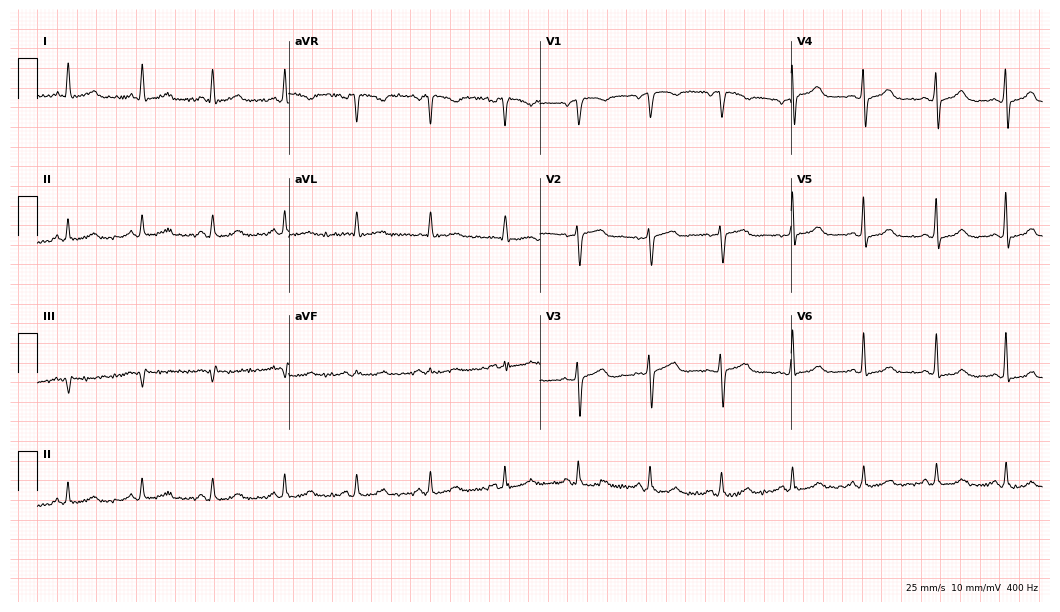
ECG — a woman, 63 years old. Labelled as a normal ECG.